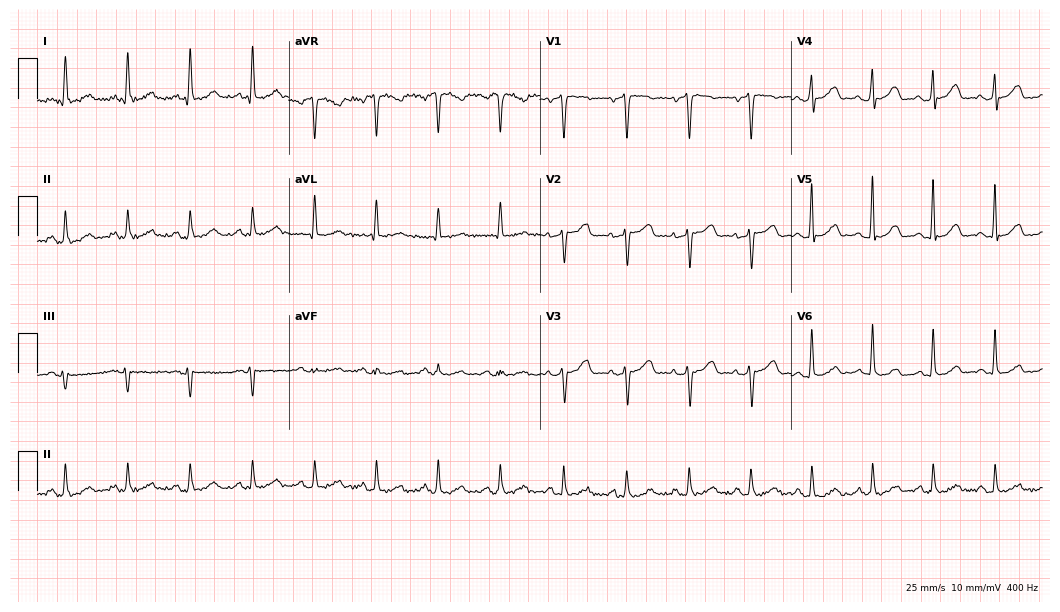
Standard 12-lead ECG recorded from a woman, 74 years old. None of these six findings is recorded: first-degree AV block, right bundle branch block (RBBB), left bundle branch block (LBBB), sinus bradycardia, atrial fibrillation (AF), sinus tachycardia. Only these six findings were labelled.